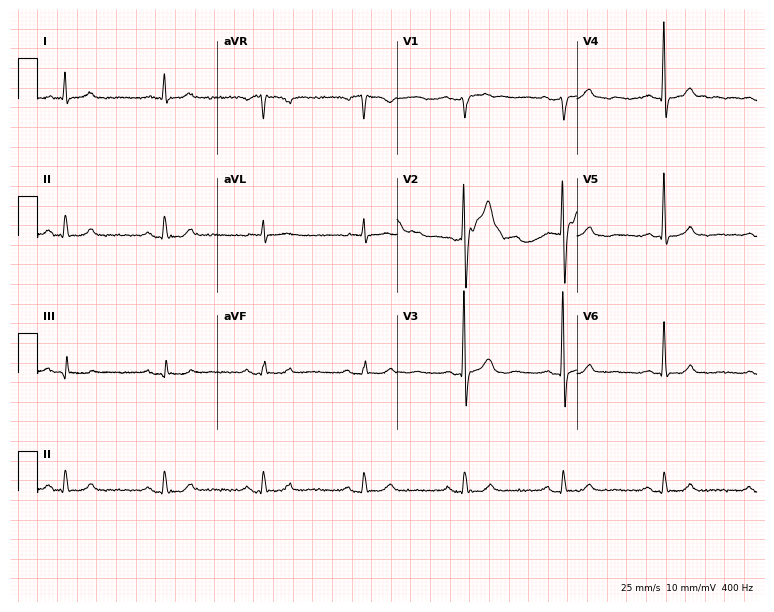
Standard 12-lead ECG recorded from a male patient, 75 years old. None of these six findings is recorded: first-degree AV block, right bundle branch block (RBBB), left bundle branch block (LBBB), sinus bradycardia, atrial fibrillation (AF), sinus tachycardia. Only these six findings were labelled.